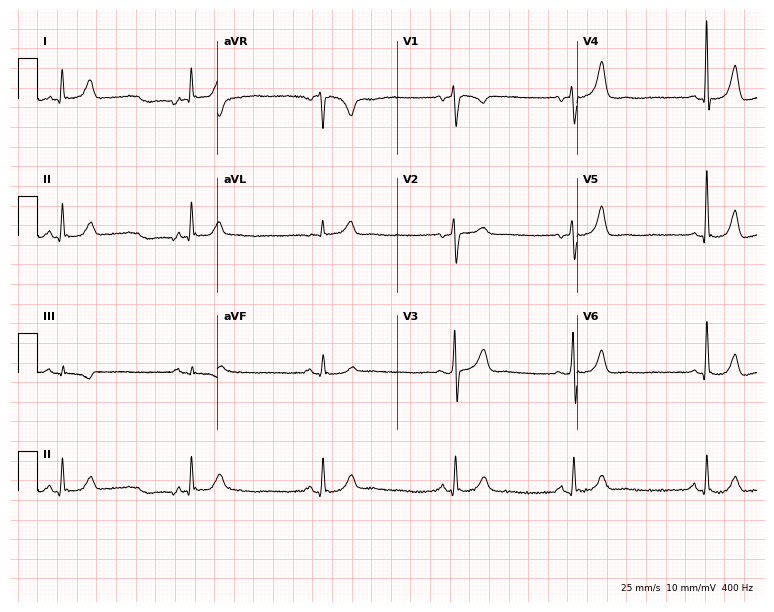
Standard 12-lead ECG recorded from a male patient, 39 years old (7.3-second recording at 400 Hz). Read as a normal ECG.